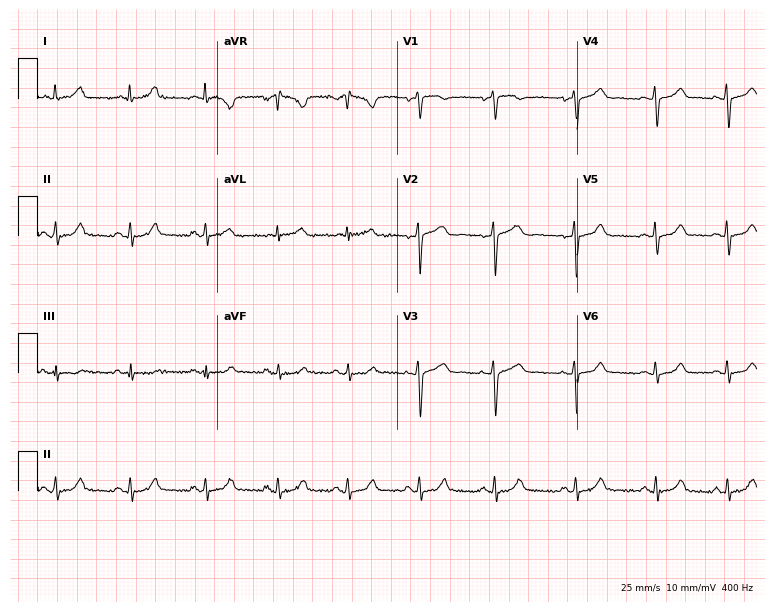
Electrocardiogram, a woman, 34 years old. Overall reading on record: normal ECG.